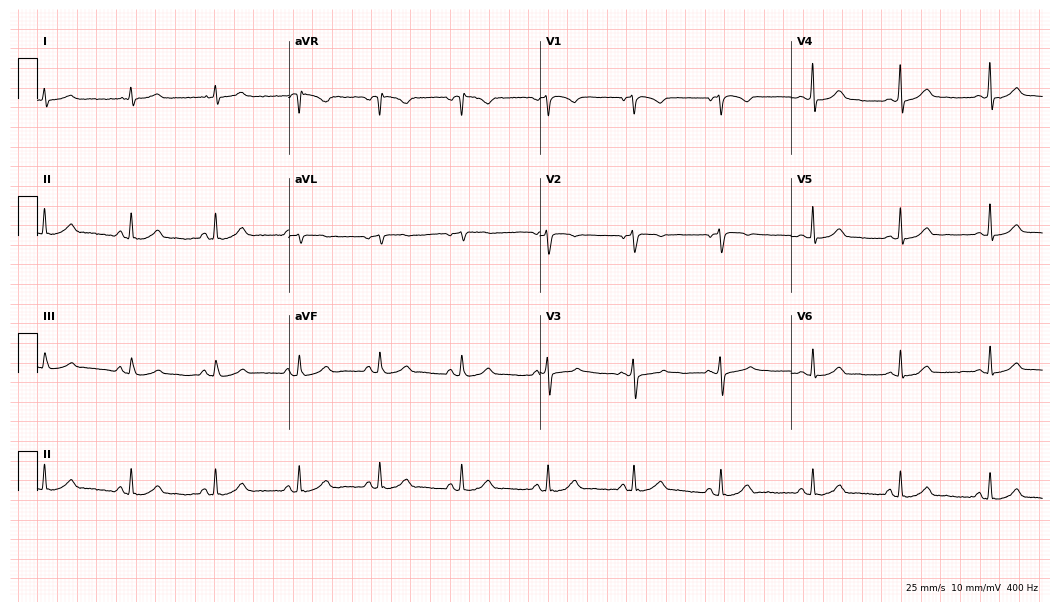
Electrocardiogram (10.2-second recording at 400 Hz), a 32-year-old female patient. Of the six screened findings (first-degree AV block, right bundle branch block, left bundle branch block, sinus bradycardia, atrial fibrillation, sinus tachycardia), none is recorded.